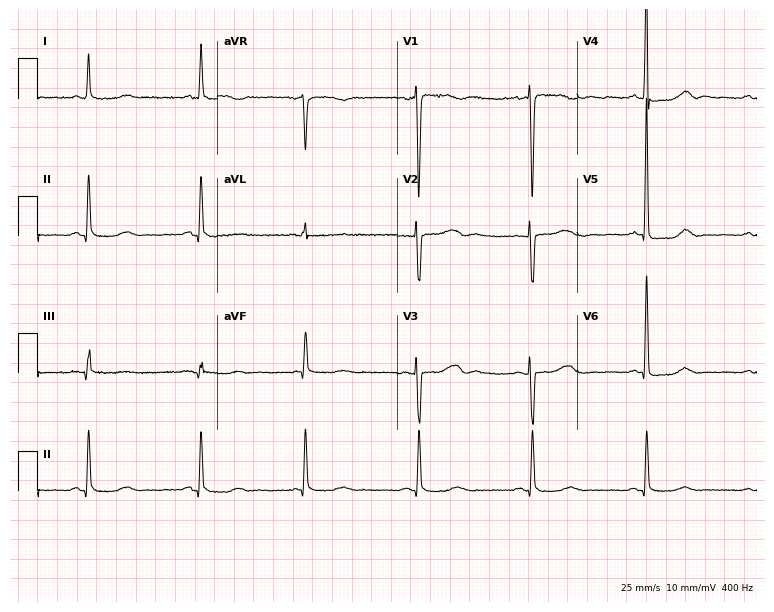
Standard 12-lead ECG recorded from a female patient, 72 years old. None of these six findings is recorded: first-degree AV block, right bundle branch block, left bundle branch block, sinus bradycardia, atrial fibrillation, sinus tachycardia.